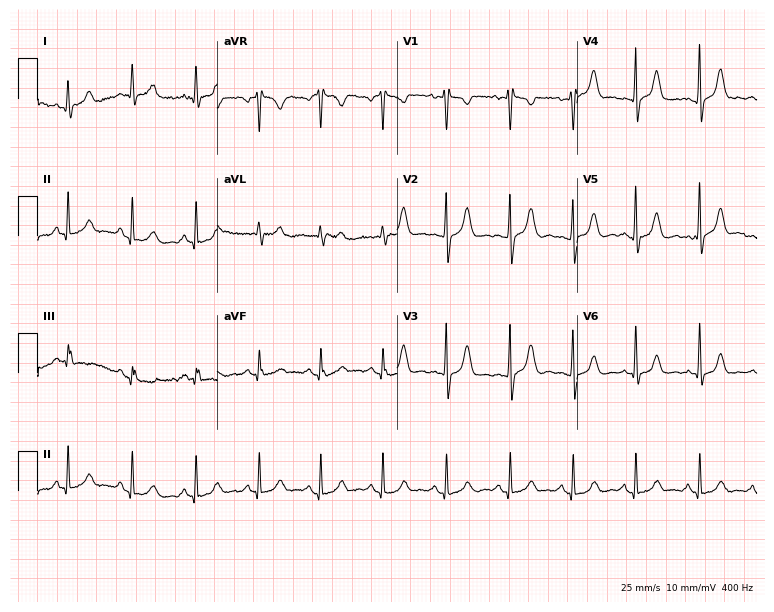
12-lead ECG from a 44-year-old female patient. Screened for six findings — first-degree AV block, right bundle branch block, left bundle branch block, sinus bradycardia, atrial fibrillation, sinus tachycardia — none is recorded.